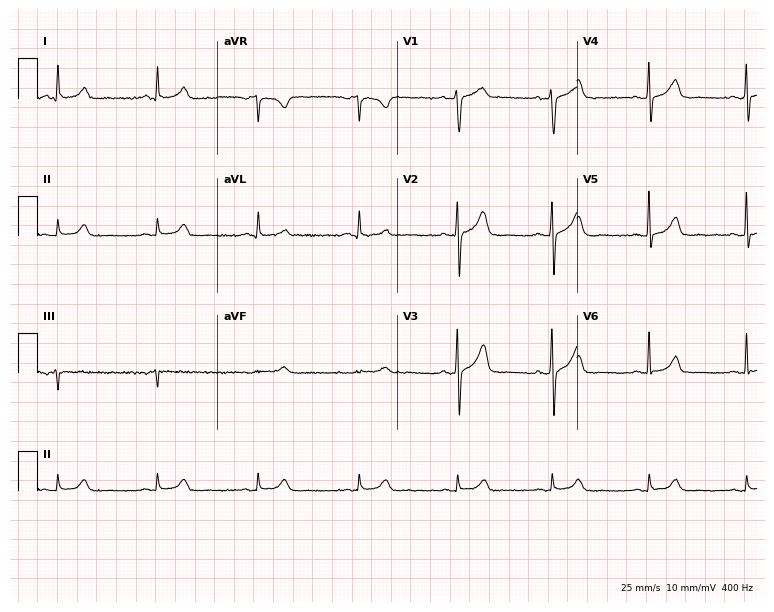
ECG — a 60-year-old male. Labelled as a normal ECG.